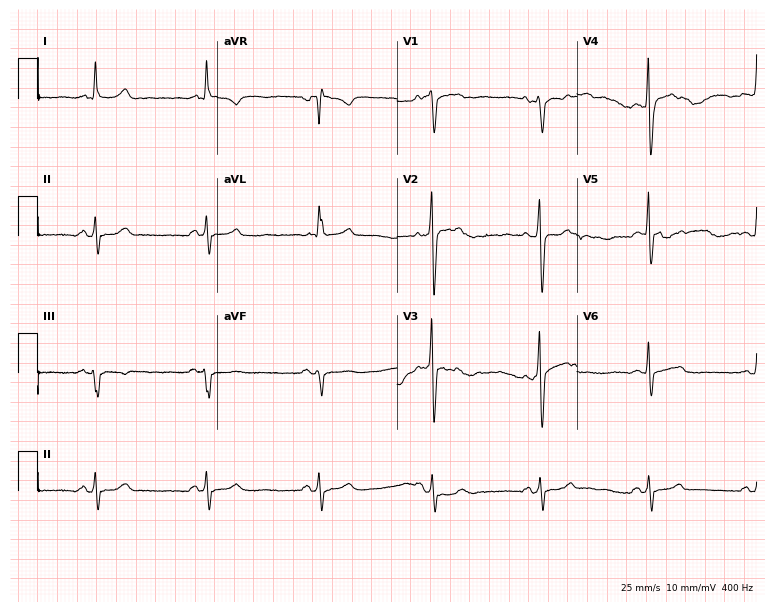
Standard 12-lead ECG recorded from a 66-year-old man (7.3-second recording at 400 Hz). Read as a normal ECG.